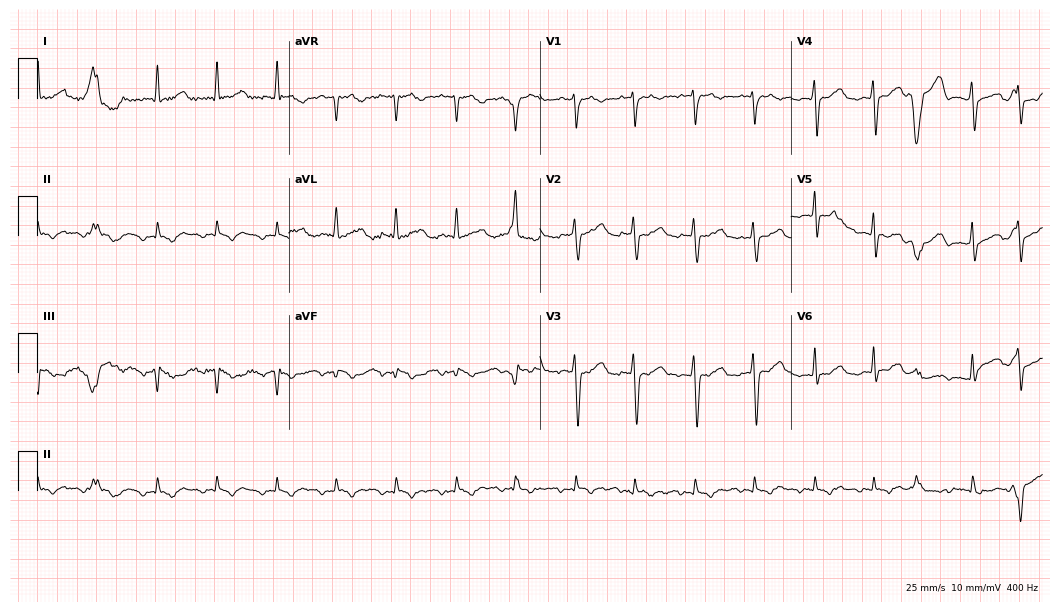
Electrocardiogram (10.2-second recording at 400 Hz), a male patient, 67 years old. Of the six screened findings (first-degree AV block, right bundle branch block (RBBB), left bundle branch block (LBBB), sinus bradycardia, atrial fibrillation (AF), sinus tachycardia), none is recorded.